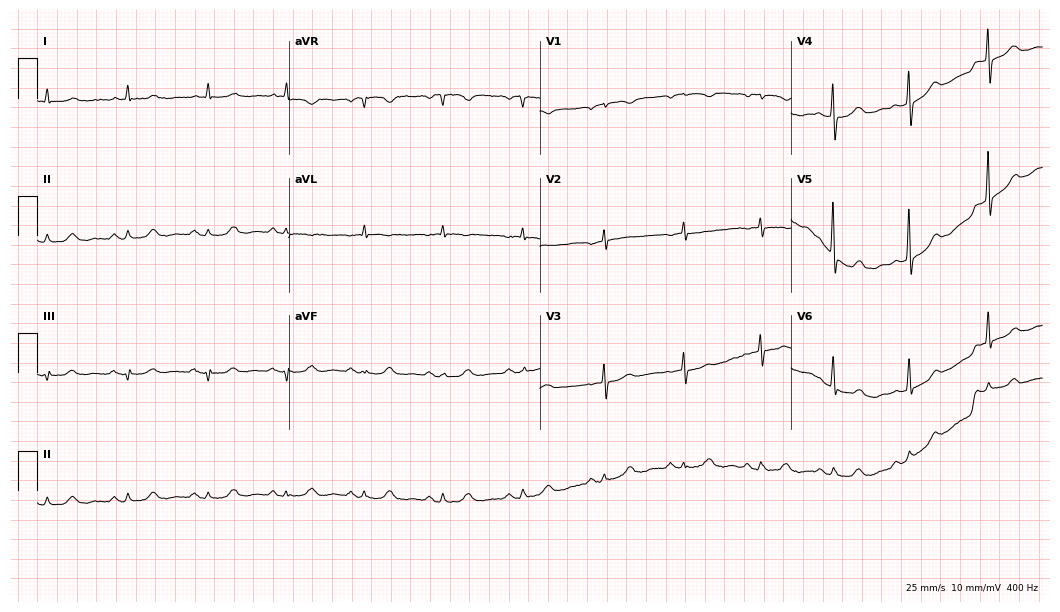
12-lead ECG from a female patient, 71 years old (10.2-second recording at 400 Hz). No first-degree AV block, right bundle branch block, left bundle branch block, sinus bradycardia, atrial fibrillation or sinus tachycardia recorded for this tracing. Other findings, if any, are not listed.